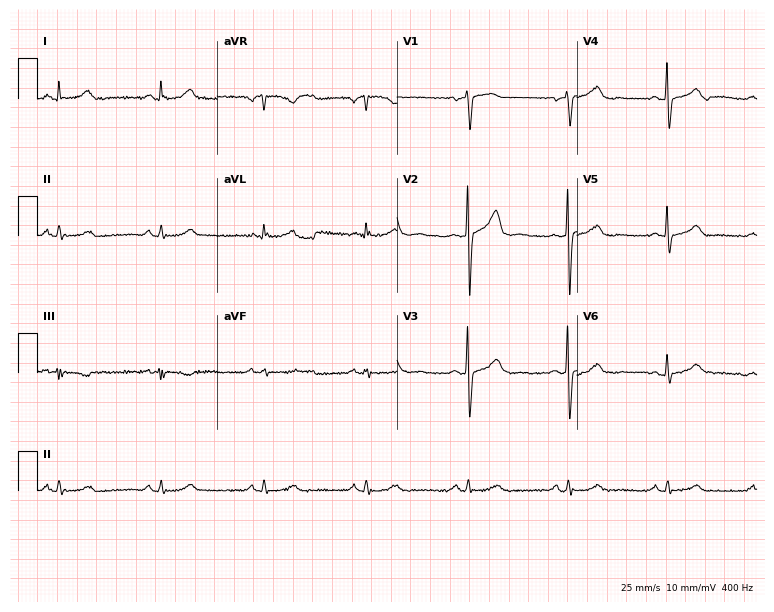
Electrocardiogram, a male patient, 69 years old. Of the six screened findings (first-degree AV block, right bundle branch block (RBBB), left bundle branch block (LBBB), sinus bradycardia, atrial fibrillation (AF), sinus tachycardia), none is recorded. Only these six findings were labelled.